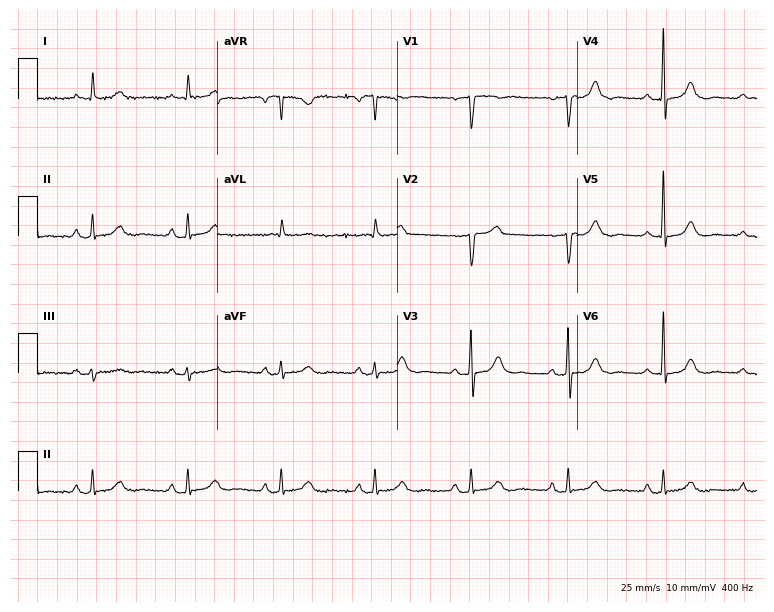
Standard 12-lead ECG recorded from a female patient, 70 years old (7.3-second recording at 400 Hz). Read as a normal ECG.